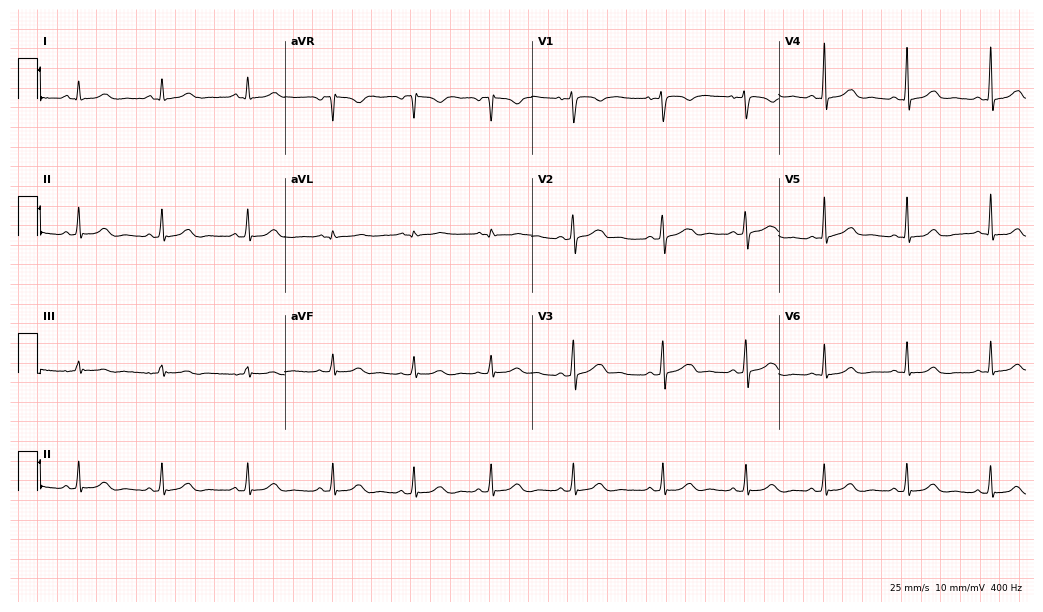
12-lead ECG from a man, 25 years old (10.1-second recording at 400 Hz). Recorded interpretation: within normal limits.